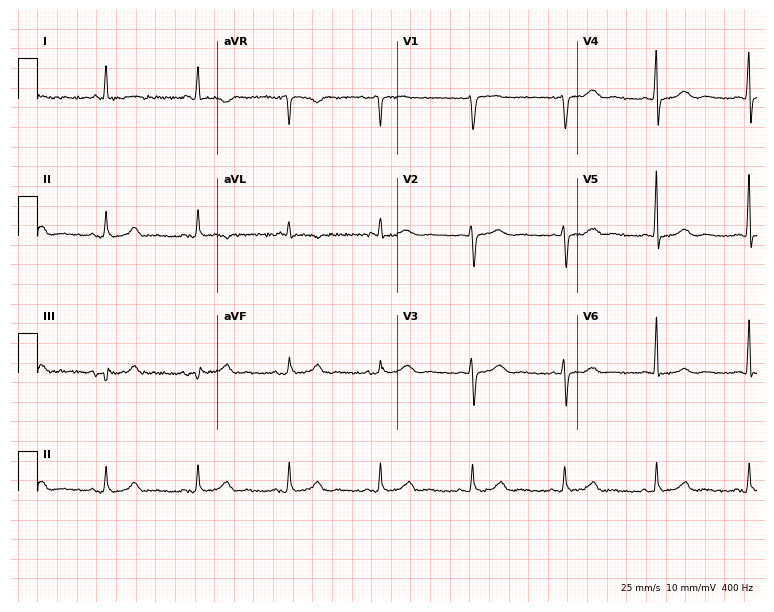
12-lead ECG from a man, 85 years old. Labelled as a normal ECG.